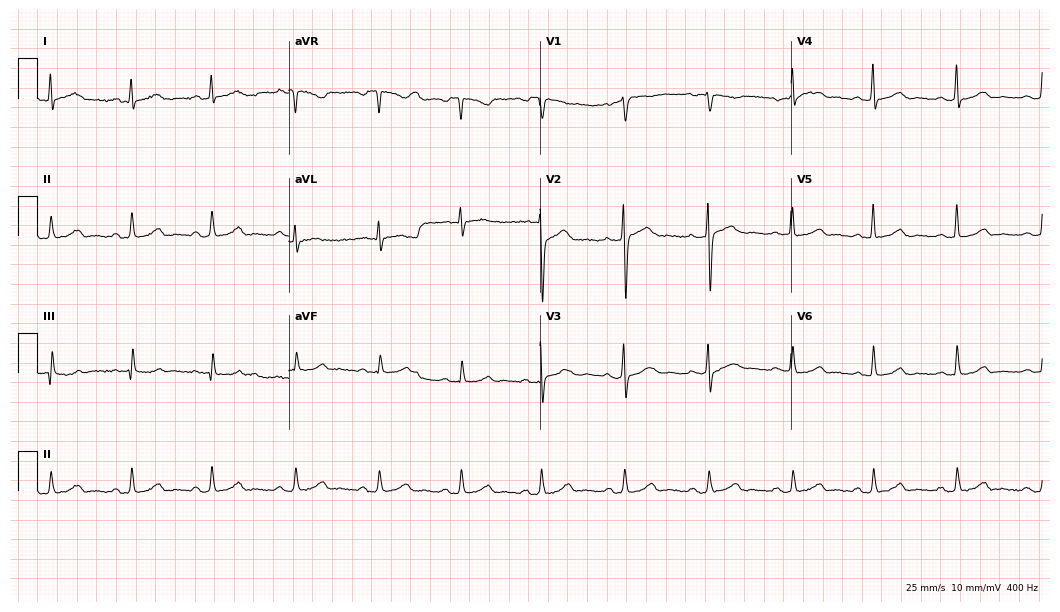
ECG (10.2-second recording at 400 Hz) — a female patient, 41 years old. Labelled as a normal ECG.